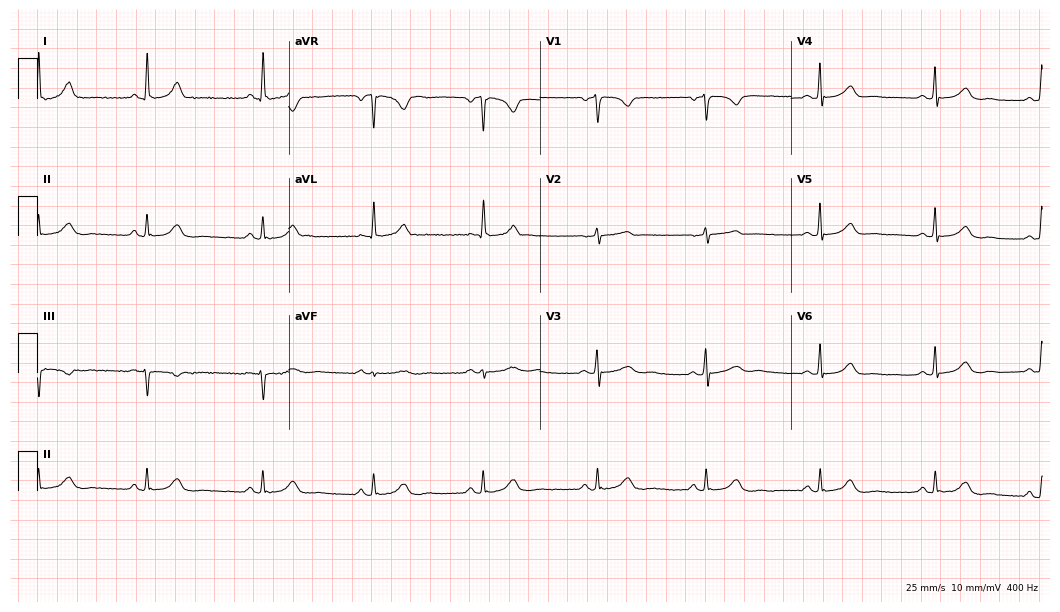
12-lead ECG from a woman, 52 years old (10.2-second recording at 400 Hz). Recorded interpretation: within normal limits.